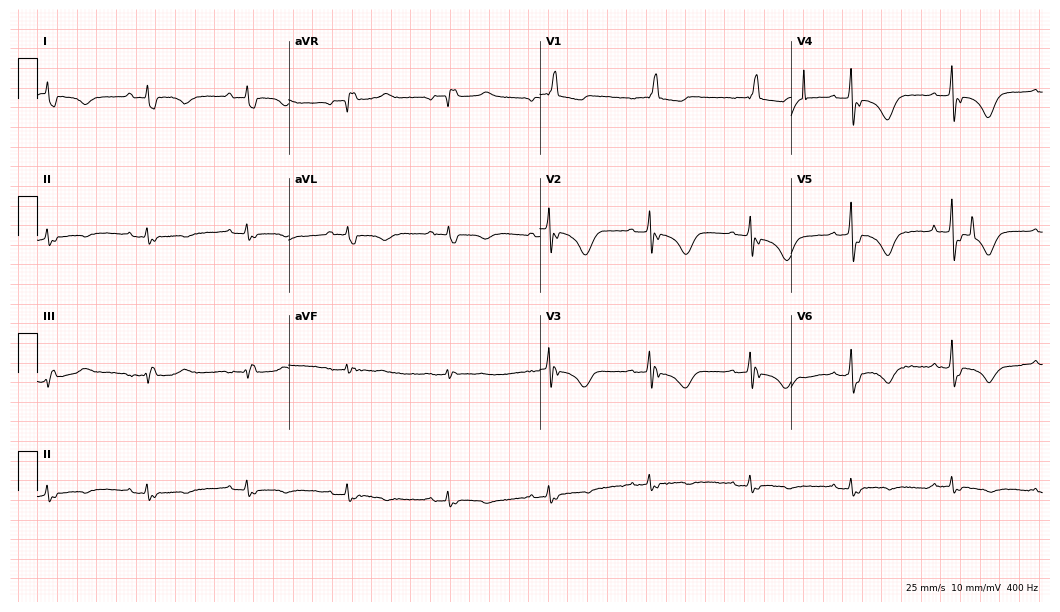
12-lead ECG (10.2-second recording at 400 Hz) from a male, 69 years old. Screened for six findings — first-degree AV block, right bundle branch block, left bundle branch block, sinus bradycardia, atrial fibrillation, sinus tachycardia — none is recorded.